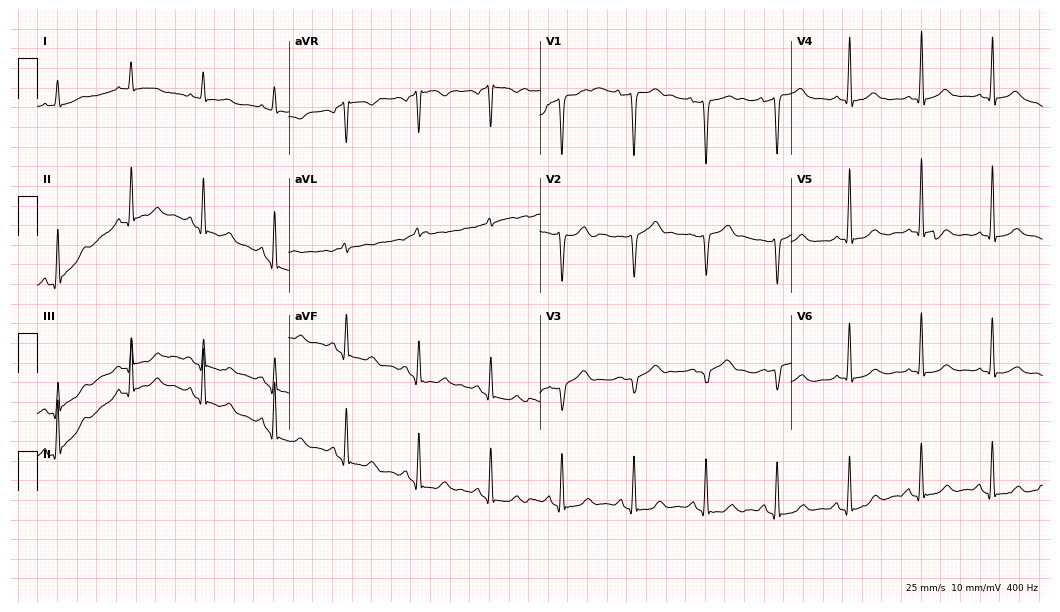
12-lead ECG (10.2-second recording at 400 Hz) from a man, 79 years old. Labelled as a normal ECG.